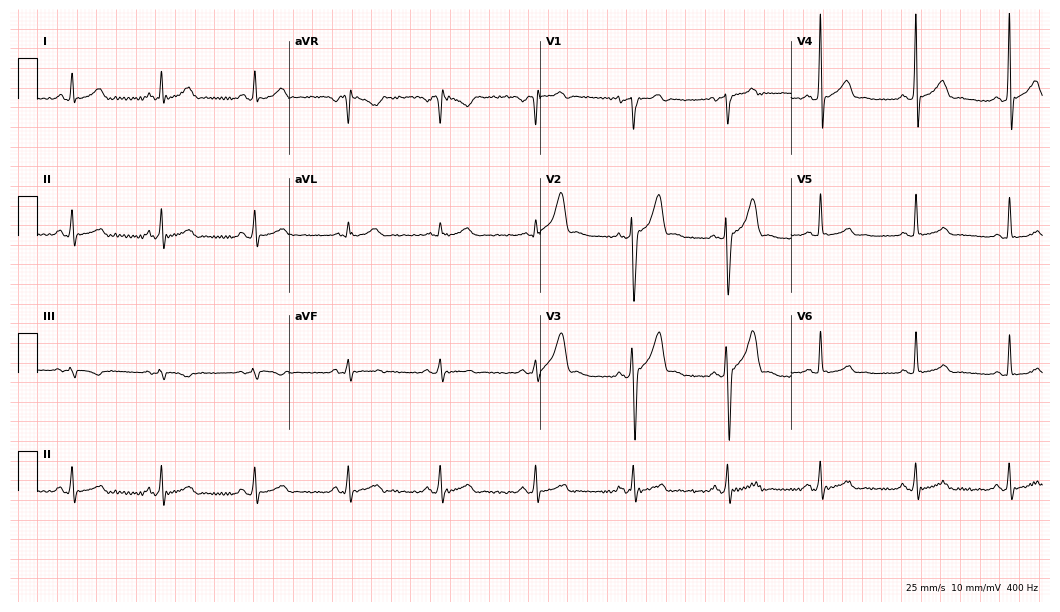
Electrocardiogram, a 36-year-old male. Overall reading on record: normal ECG.